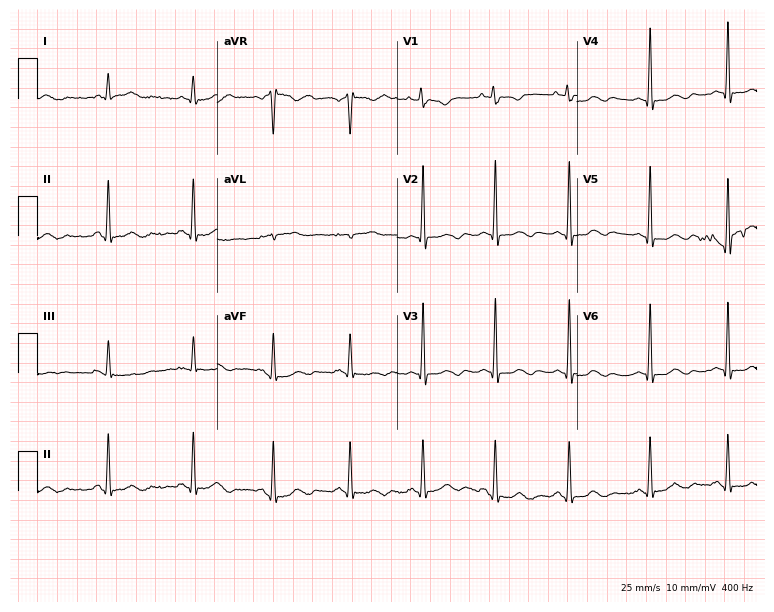
ECG — a 33-year-old woman. Screened for six findings — first-degree AV block, right bundle branch block (RBBB), left bundle branch block (LBBB), sinus bradycardia, atrial fibrillation (AF), sinus tachycardia — none is recorded.